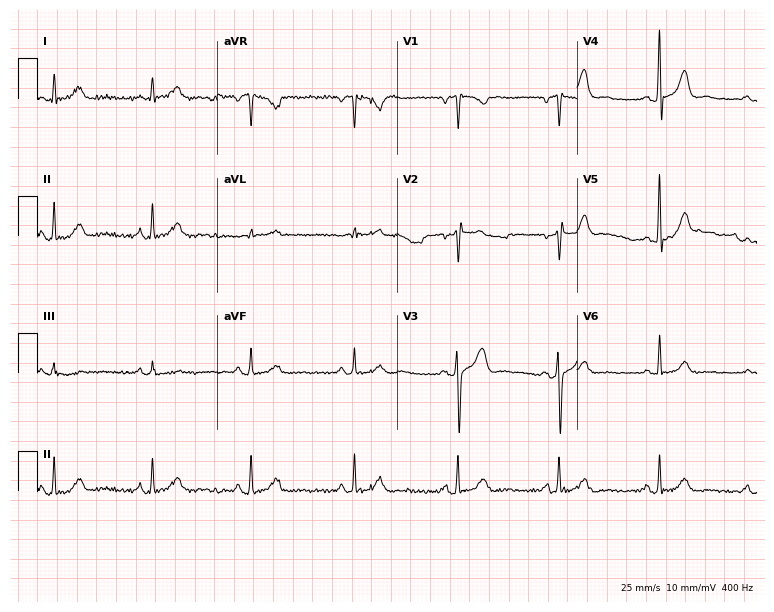
Resting 12-lead electrocardiogram. Patient: a male, 50 years old. None of these six findings is recorded: first-degree AV block, right bundle branch block (RBBB), left bundle branch block (LBBB), sinus bradycardia, atrial fibrillation (AF), sinus tachycardia. Other findings, if any, are not listed.